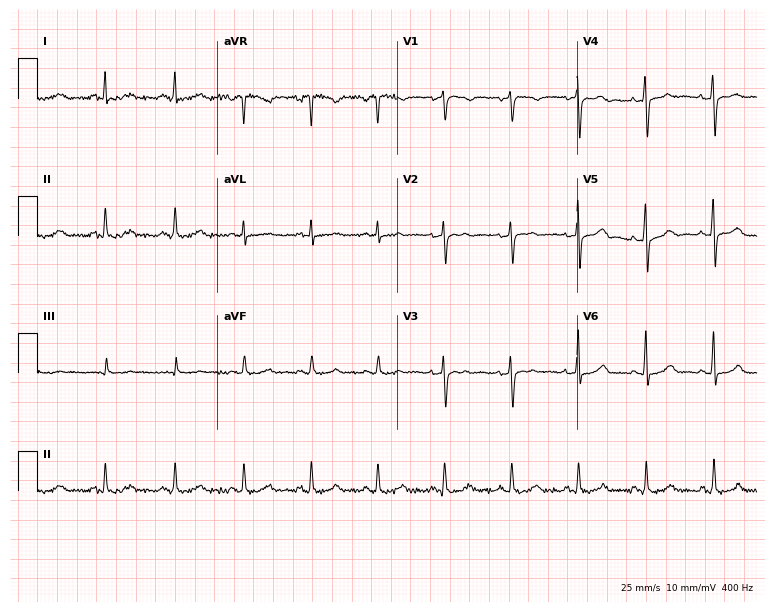
12-lead ECG from a woman, 42 years old. No first-degree AV block, right bundle branch block, left bundle branch block, sinus bradycardia, atrial fibrillation or sinus tachycardia recorded for this tracing. Other findings, if any, are not listed.